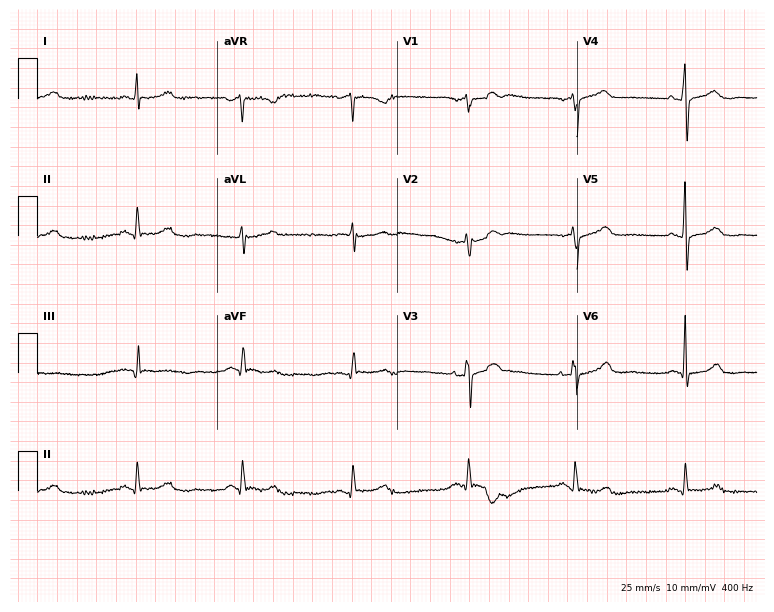
Resting 12-lead electrocardiogram (7.3-second recording at 400 Hz). Patient: a woman, 65 years old. Read as a normal ECG.